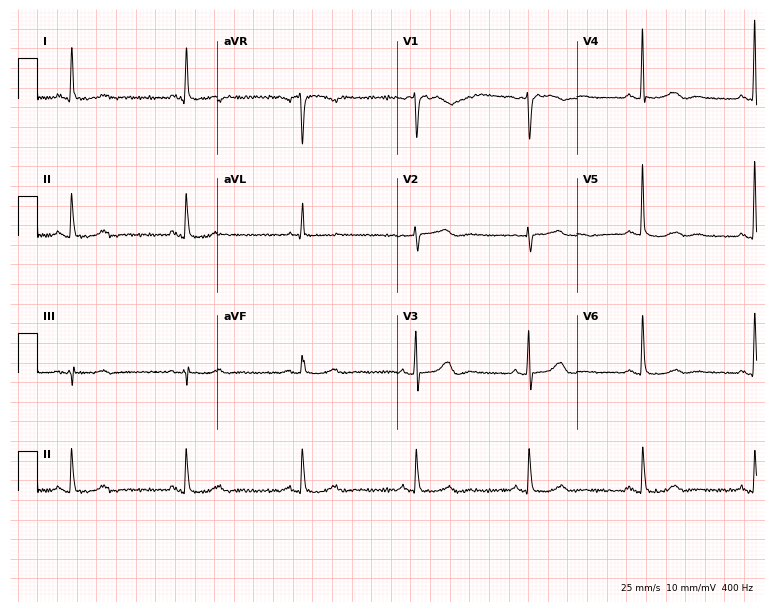
Resting 12-lead electrocardiogram (7.3-second recording at 400 Hz). Patient: a 71-year-old female. Read as a normal ECG.